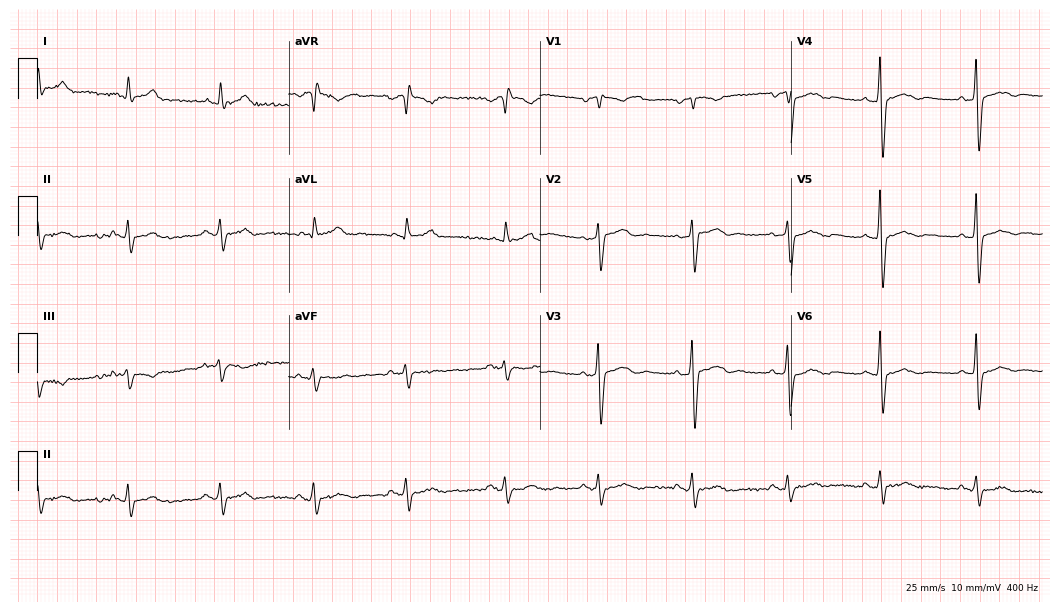
Standard 12-lead ECG recorded from a male patient, 78 years old (10.2-second recording at 400 Hz). None of these six findings is recorded: first-degree AV block, right bundle branch block (RBBB), left bundle branch block (LBBB), sinus bradycardia, atrial fibrillation (AF), sinus tachycardia. Only these six findings were labelled.